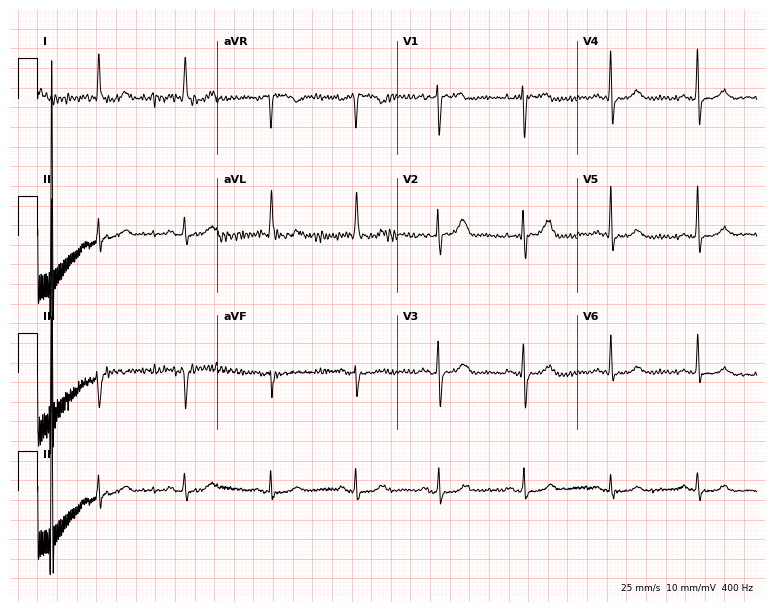
Electrocardiogram, a female, 75 years old. Overall reading on record: normal ECG.